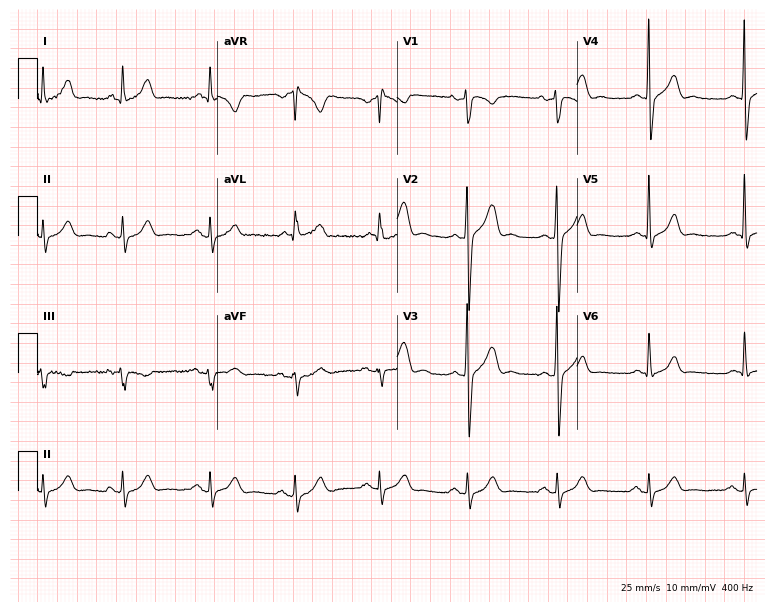
ECG — a man, 34 years old. Labelled as a normal ECG.